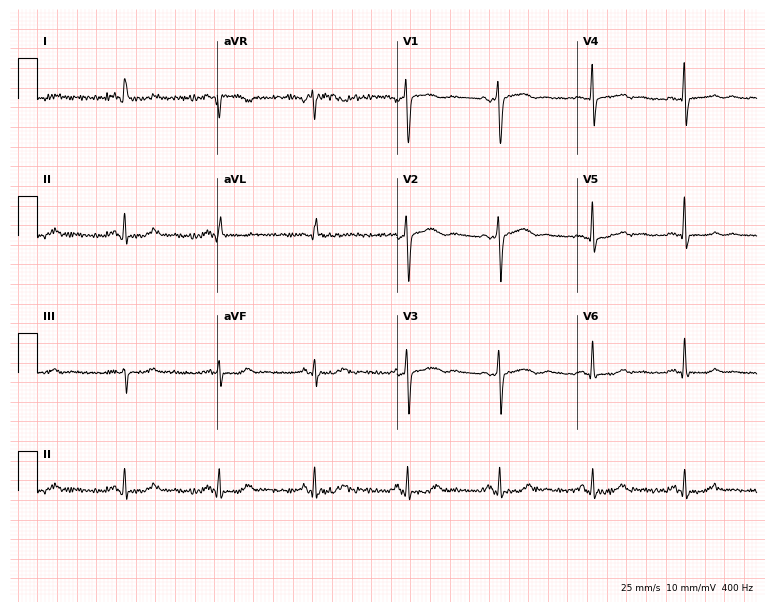
Electrocardiogram (7.3-second recording at 400 Hz), a 57-year-old female. Of the six screened findings (first-degree AV block, right bundle branch block, left bundle branch block, sinus bradycardia, atrial fibrillation, sinus tachycardia), none is recorded.